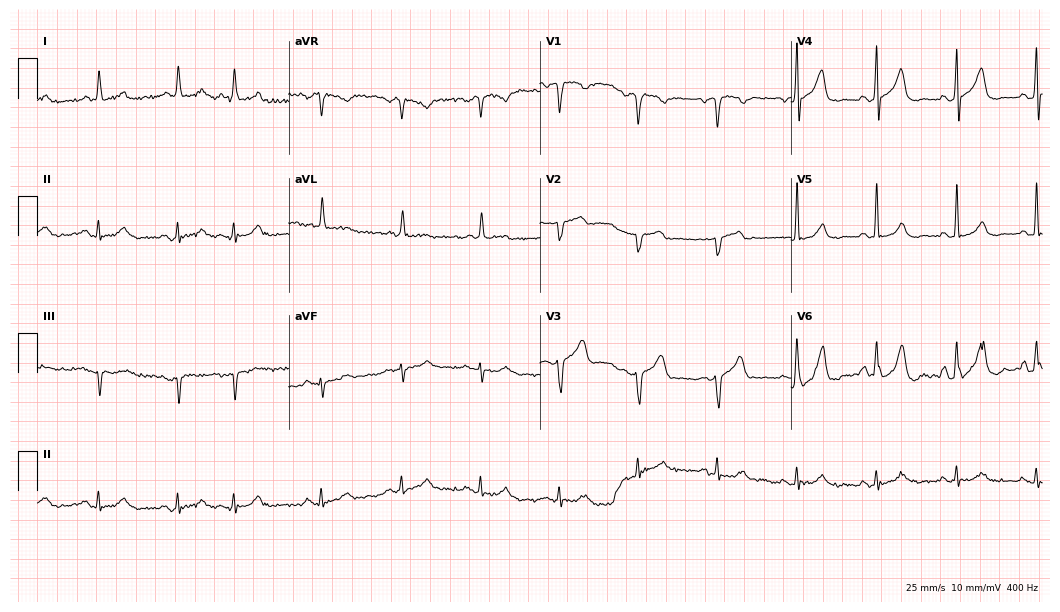
Electrocardiogram, a 75-year-old man. Of the six screened findings (first-degree AV block, right bundle branch block, left bundle branch block, sinus bradycardia, atrial fibrillation, sinus tachycardia), none is recorded. Findings outside these six are not listed.